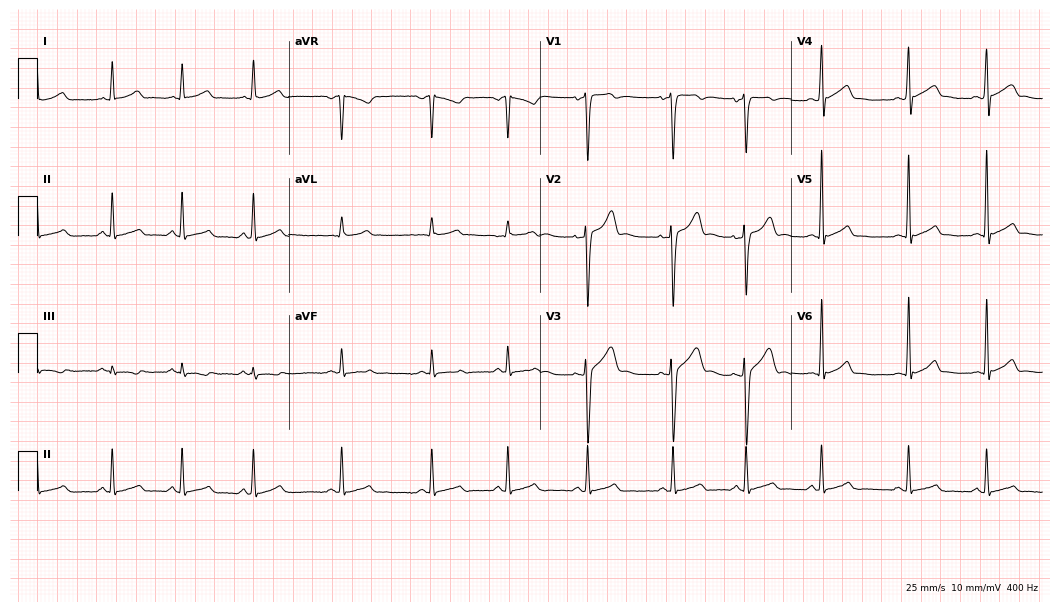
ECG (10.2-second recording at 400 Hz) — a 30-year-old male patient. Labelled as a normal ECG.